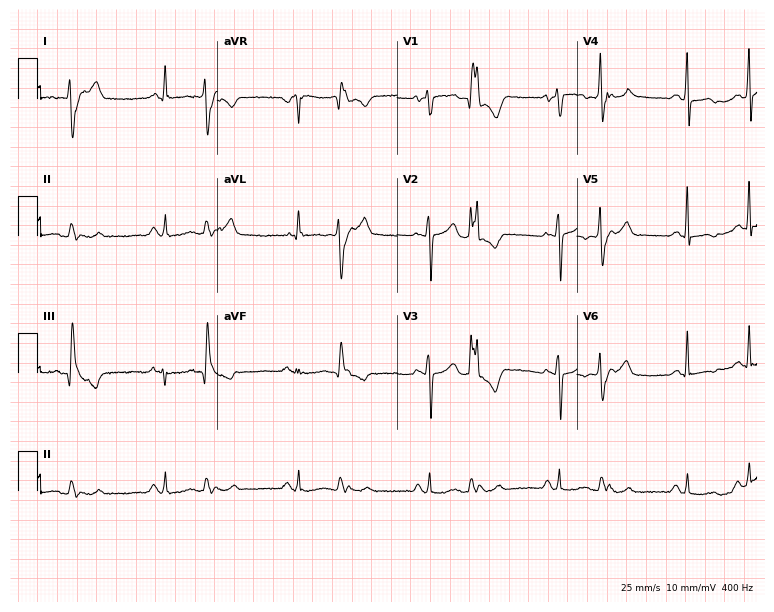
Resting 12-lead electrocardiogram (7.3-second recording at 400 Hz). Patient: a 67-year-old female. None of these six findings is recorded: first-degree AV block, right bundle branch block, left bundle branch block, sinus bradycardia, atrial fibrillation, sinus tachycardia. Other findings, if any, are not listed.